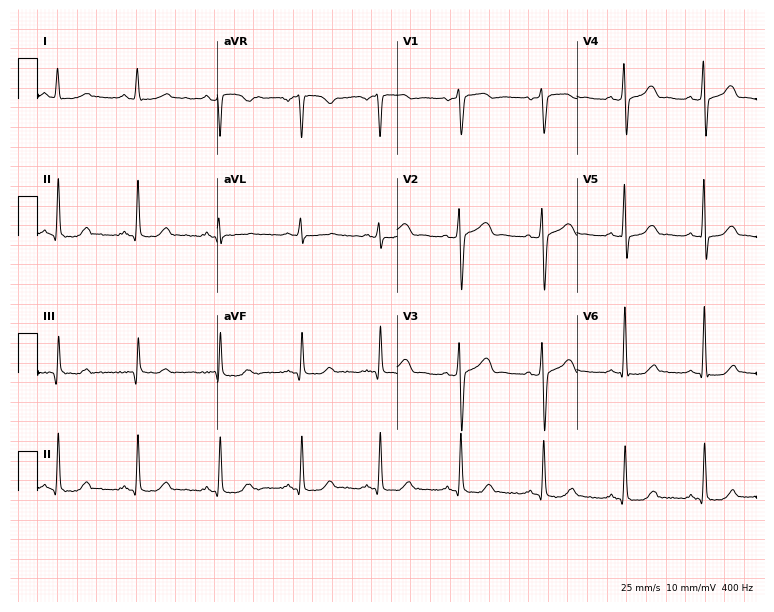
Standard 12-lead ECG recorded from a female, 37 years old (7.3-second recording at 400 Hz). None of these six findings is recorded: first-degree AV block, right bundle branch block, left bundle branch block, sinus bradycardia, atrial fibrillation, sinus tachycardia.